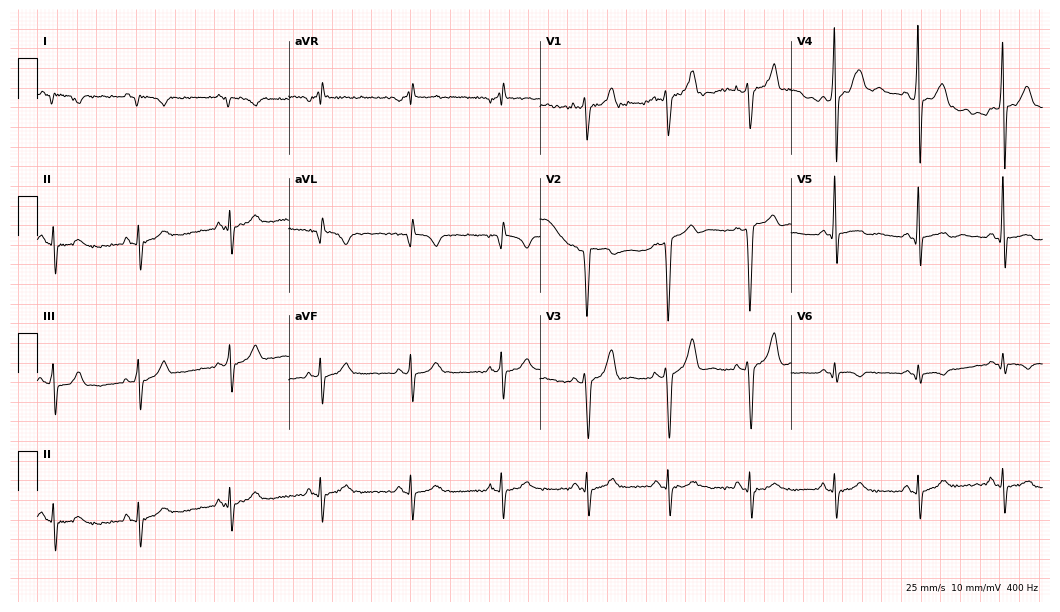
ECG (10.2-second recording at 400 Hz) — a 25-year-old male patient. Screened for six findings — first-degree AV block, right bundle branch block (RBBB), left bundle branch block (LBBB), sinus bradycardia, atrial fibrillation (AF), sinus tachycardia — none is recorded.